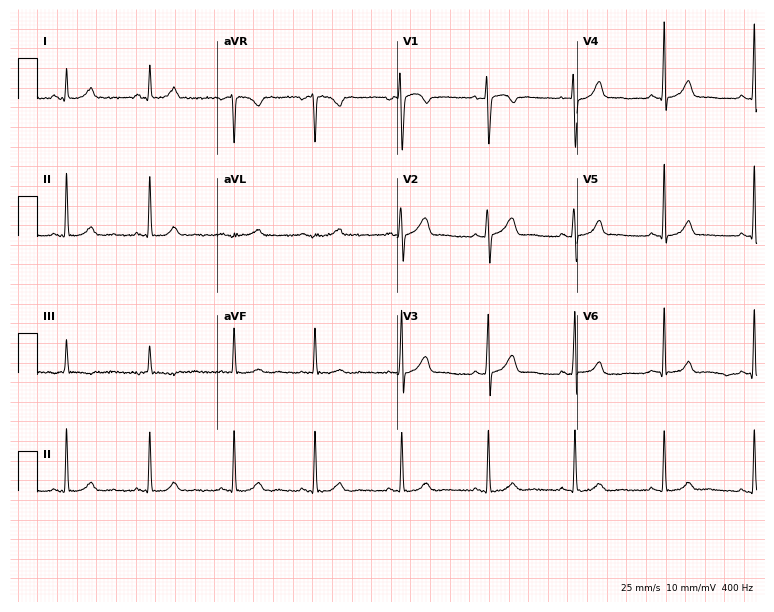
Resting 12-lead electrocardiogram (7.3-second recording at 400 Hz). Patient: a 29-year-old female. None of these six findings is recorded: first-degree AV block, right bundle branch block, left bundle branch block, sinus bradycardia, atrial fibrillation, sinus tachycardia.